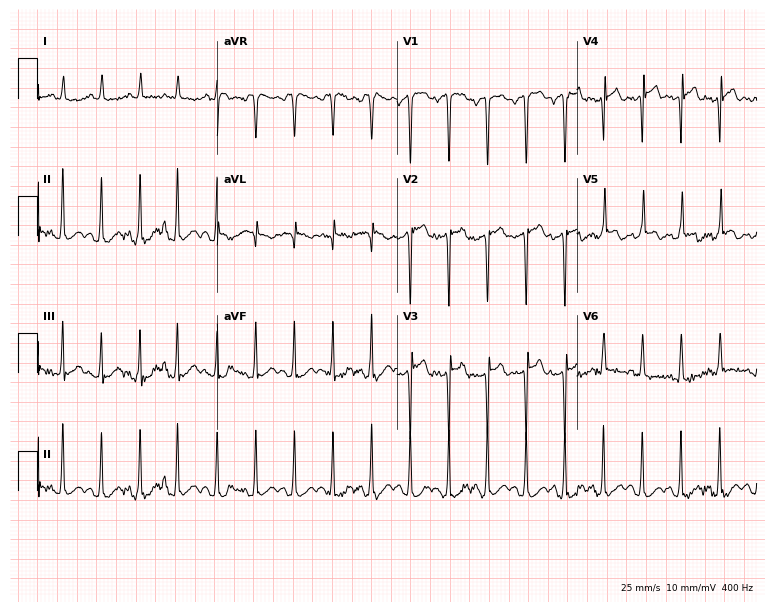
Standard 12-lead ECG recorded from a male patient, 67 years old. The tracing shows sinus tachycardia (a sinus rate of 100 beats per minute or more).